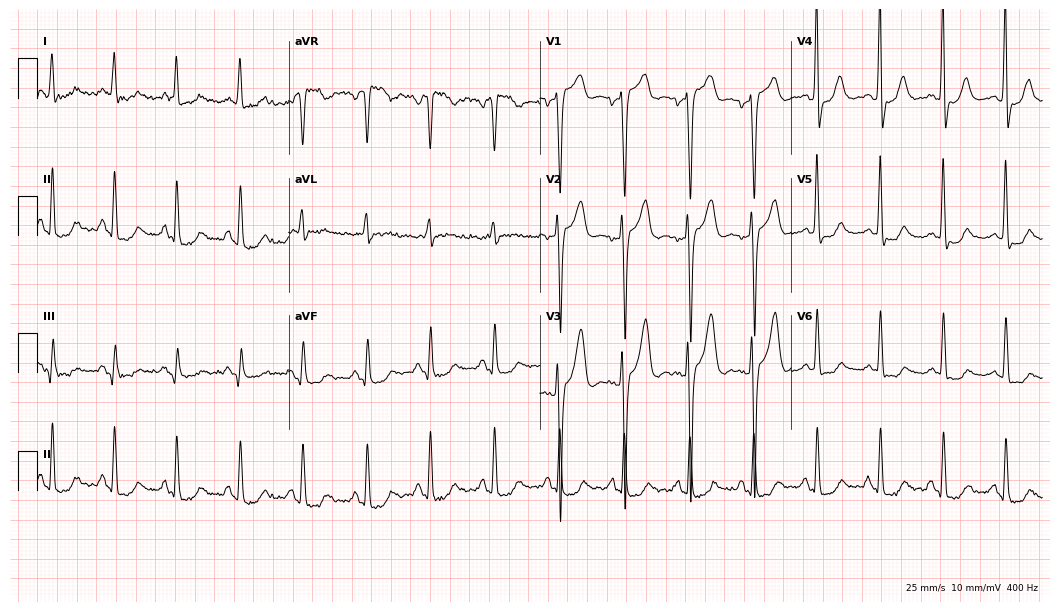
ECG (10.2-second recording at 400 Hz) — a man, 63 years old. Screened for six findings — first-degree AV block, right bundle branch block, left bundle branch block, sinus bradycardia, atrial fibrillation, sinus tachycardia — none is recorded. Only these six findings were labelled.